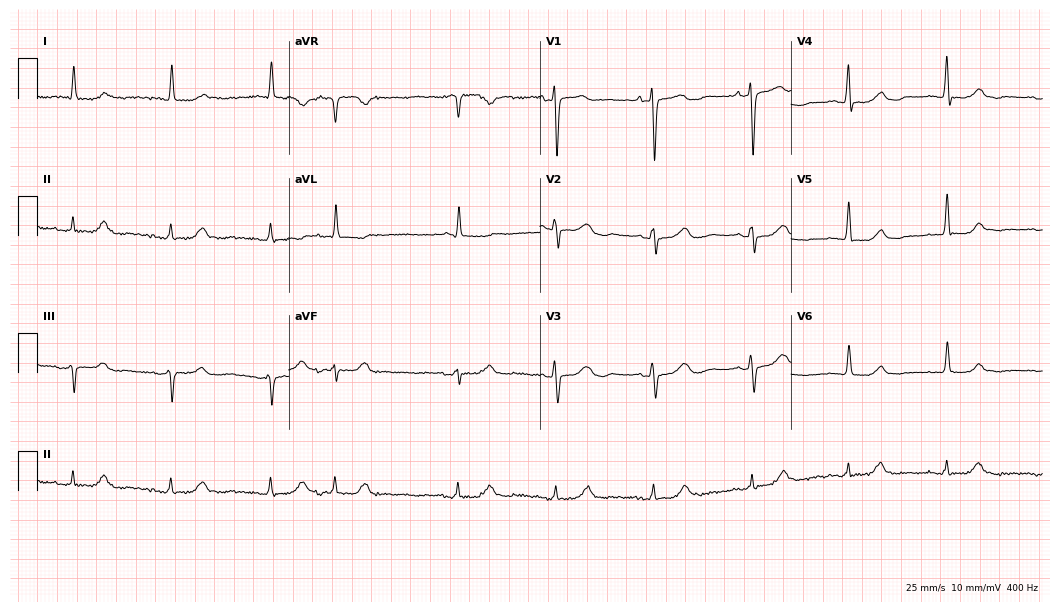
Electrocardiogram, a female patient, 85 years old. Overall reading on record: normal ECG.